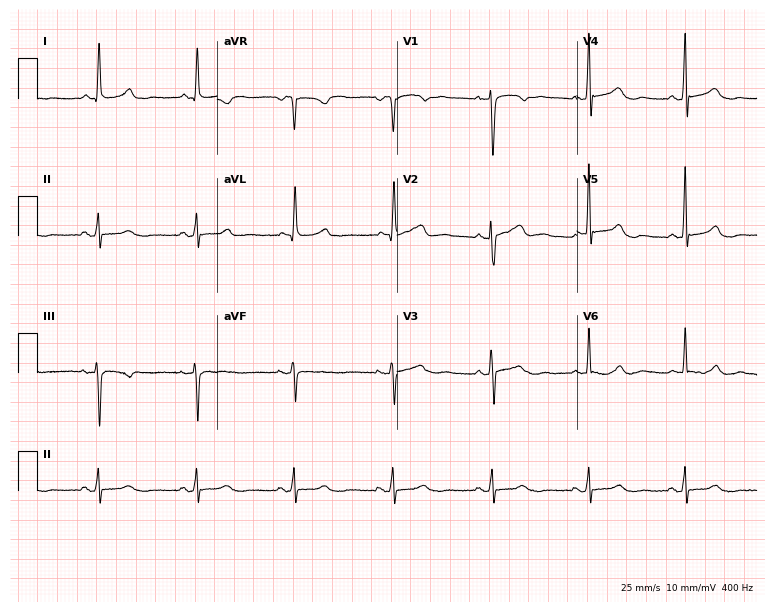
12-lead ECG from a 59-year-old female. No first-degree AV block, right bundle branch block, left bundle branch block, sinus bradycardia, atrial fibrillation or sinus tachycardia recorded for this tracing.